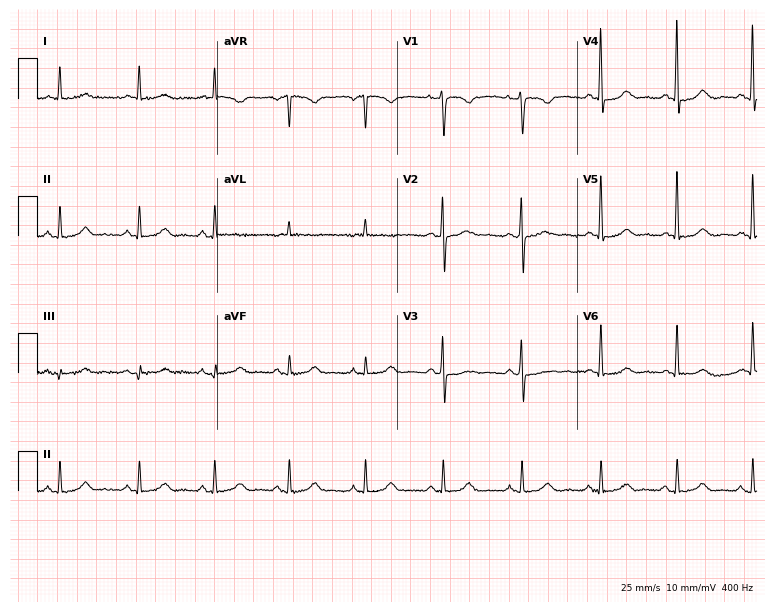
Resting 12-lead electrocardiogram (7.3-second recording at 400 Hz). Patient: a woman, 57 years old. Read as a normal ECG.